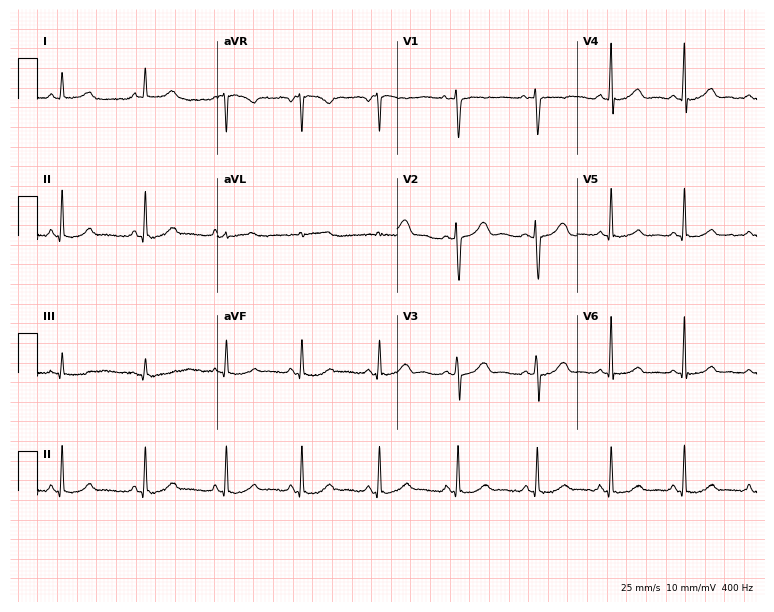
Standard 12-lead ECG recorded from a 38-year-old woman. None of these six findings is recorded: first-degree AV block, right bundle branch block, left bundle branch block, sinus bradycardia, atrial fibrillation, sinus tachycardia. Only these six findings were labelled.